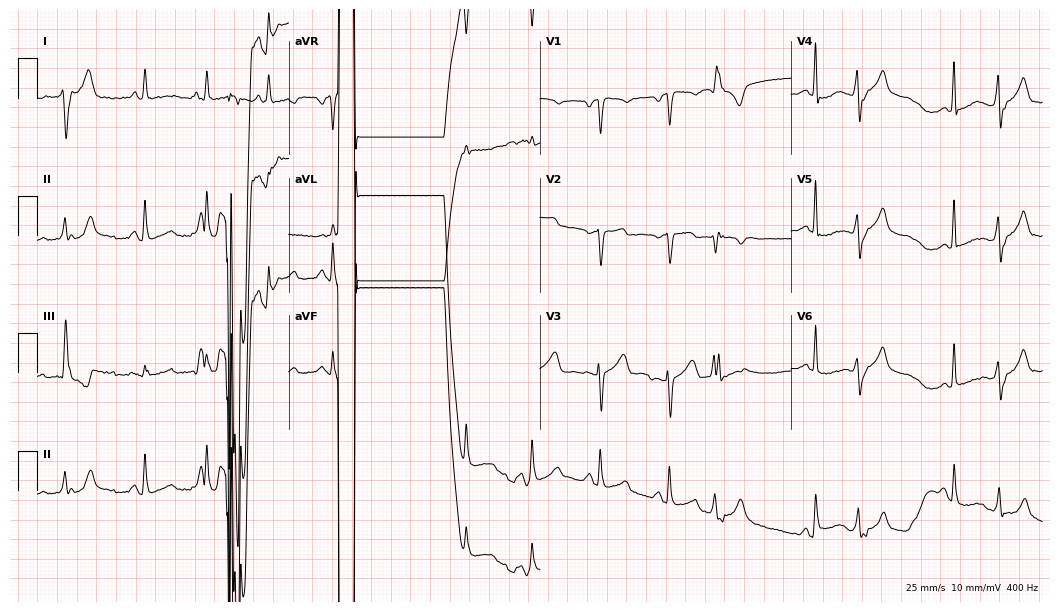
Electrocardiogram (10.2-second recording at 400 Hz), a woman, 56 years old. Of the six screened findings (first-degree AV block, right bundle branch block (RBBB), left bundle branch block (LBBB), sinus bradycardia, atrial fibrillation (AF), sinus tachycardia), none is recorded.